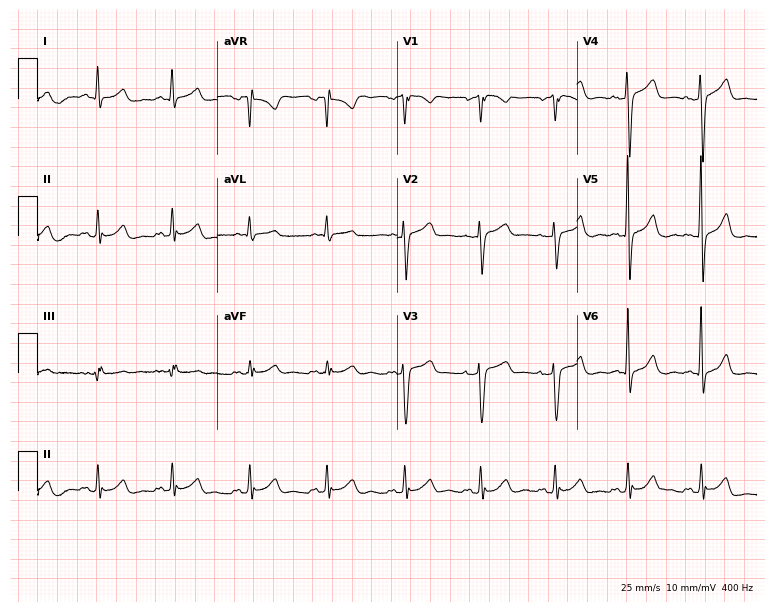
Resting 12-lead electrocardiogram. Patient: a 54-year-old man. Read as a normal ECG.